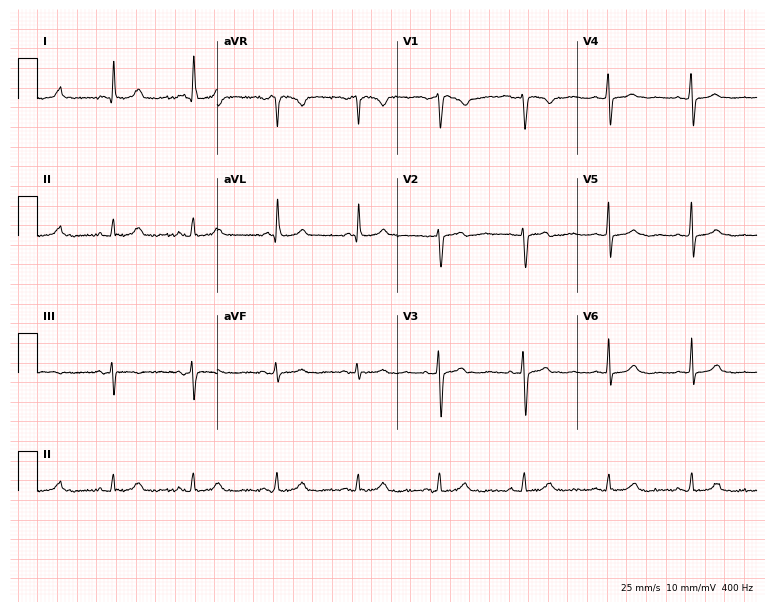
Electrocardiogram, a 54-year-old woman. Overall reading on record: normal ECG.